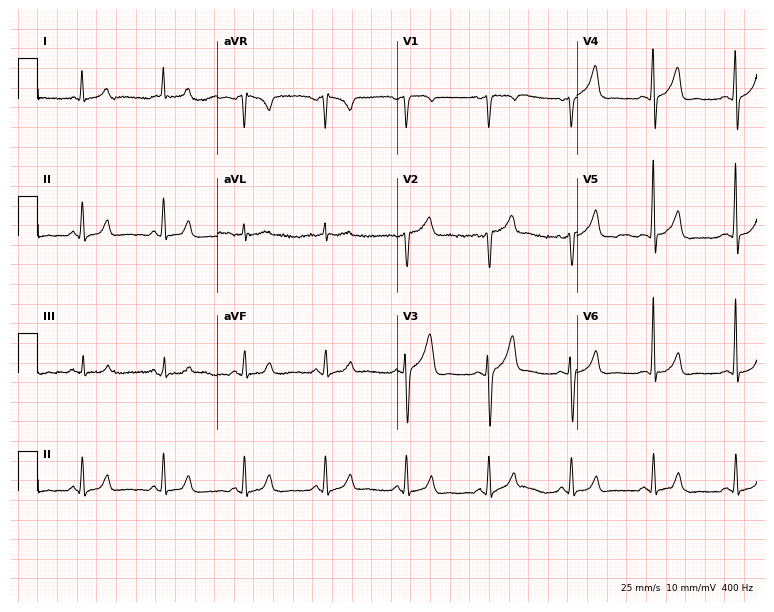
12-lead ECG from a male patient, 58 years old. No first-degree AV block, right bundle branch block, left bundle branch block, sinus bradycardia, atrial fibrillation or sinus tachycardia recorded for this tracing. Other findings, if any, are not listed.